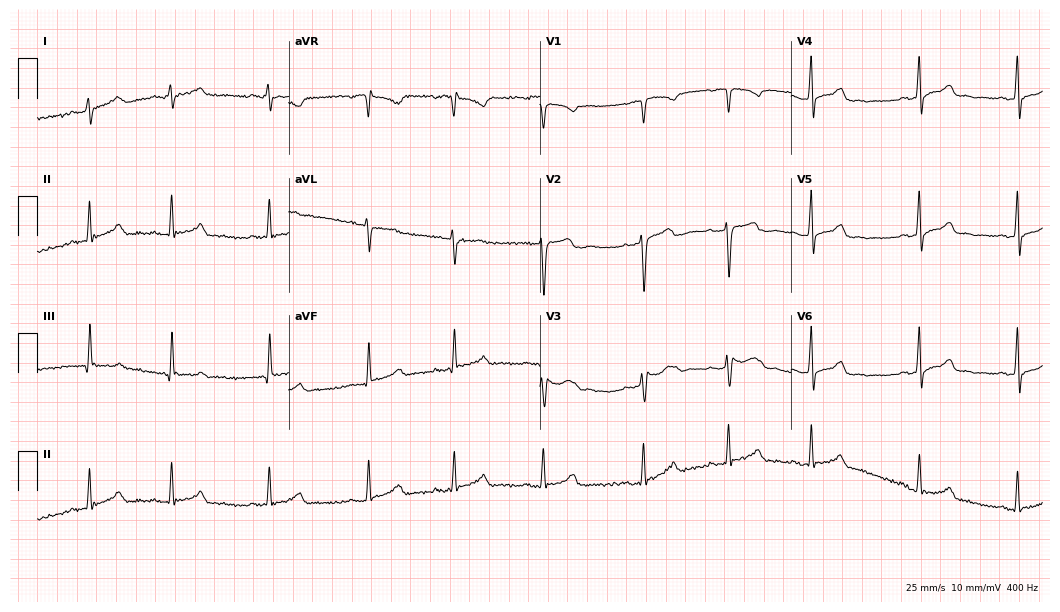
Resting 12-lead electrocardiogram. Patient: a 22-year-old woman. Read as a normal ECG.